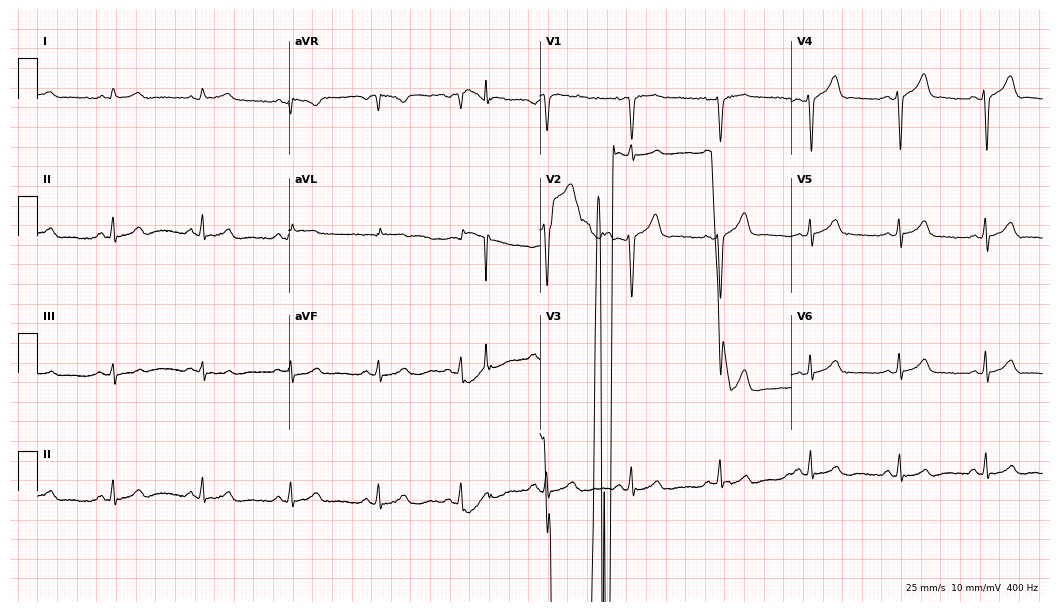
Electrocardiogram, a male, 25 years old. Of the six screened findings (first-degree AV block, right bundle branch block (RBBB), left bundle branch block (LBBB), sinus bradycardia, atrial fibrillation (AF), sinus tachycardia), none is recorded. Findings outside these six are not listed.